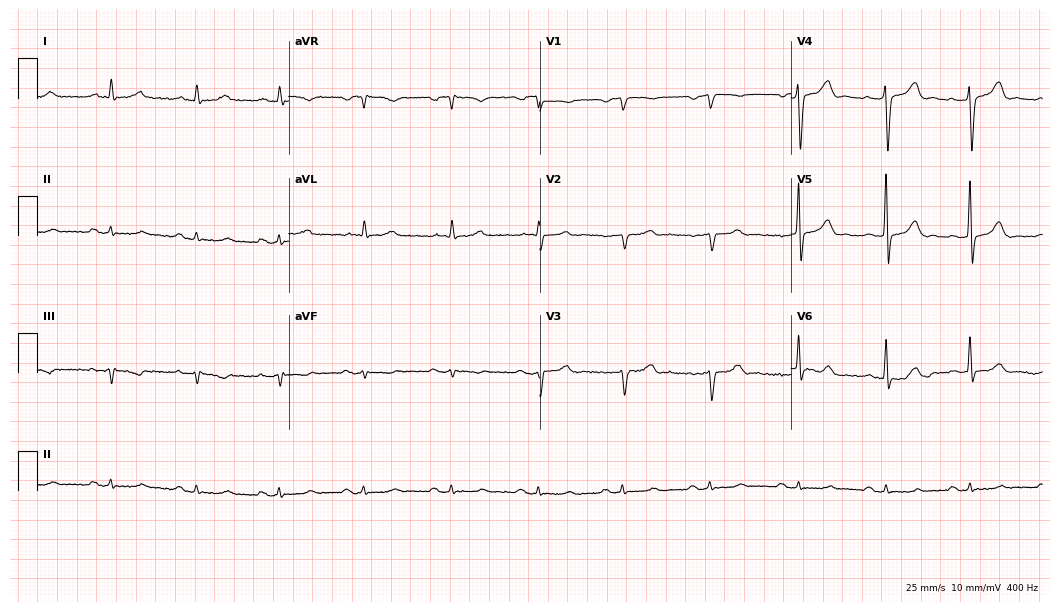
ECG (10.2-second recording at 400 Hz) — a male patient, 74 years old. Labelled as a normal ECG.